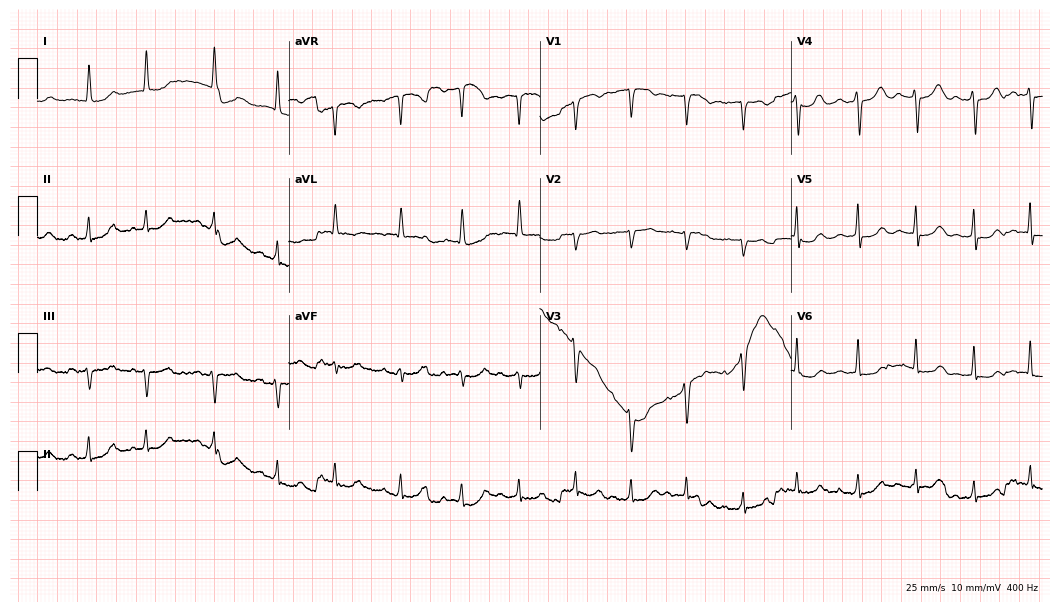
12-lead ECG from an 83-year-old woman. No first-degree AV block, right bundle branch block, left bundle branch block, sinus bradycardia, atrial fibrillation or sinus tachycardia recorded for this tracing. Findings outside these six are not listed.